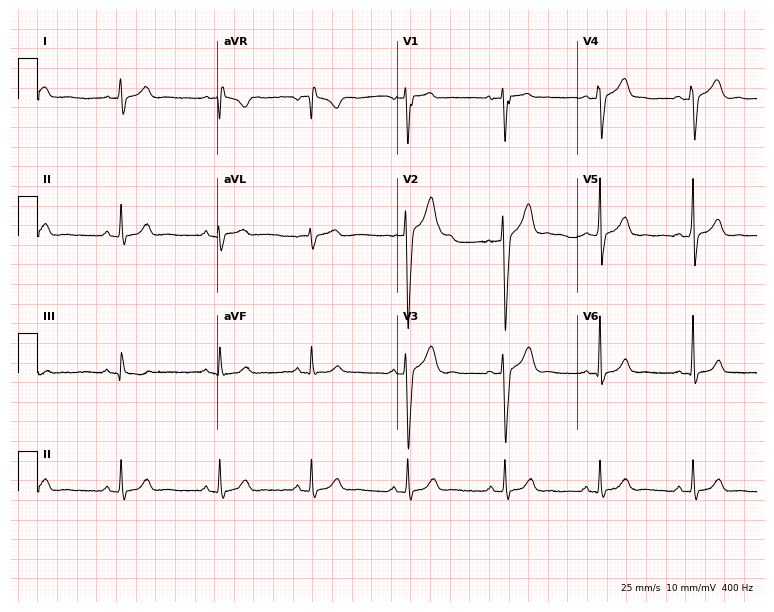
12-lead ECG from a 39-year-old male patient. No first-degree AV block, right bundle branch block, left bundle branch block, sinus bradycardia, atrial fibrillation or sinus tachycardia recorded for this tracing.